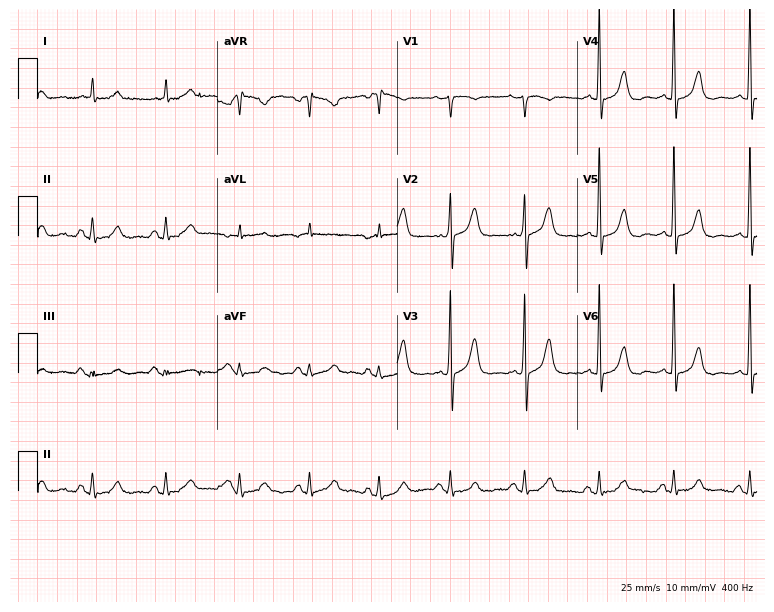
Resting 12-lead electrocardiogram. Patient: a male, 78 years old. None of these six findings is recorded: first-degree AV block, right bundle branch block, left bundle branch block, sinus bradycardia, atrial fibrillation, sinus tachycardia. Only these six findings were labelled.